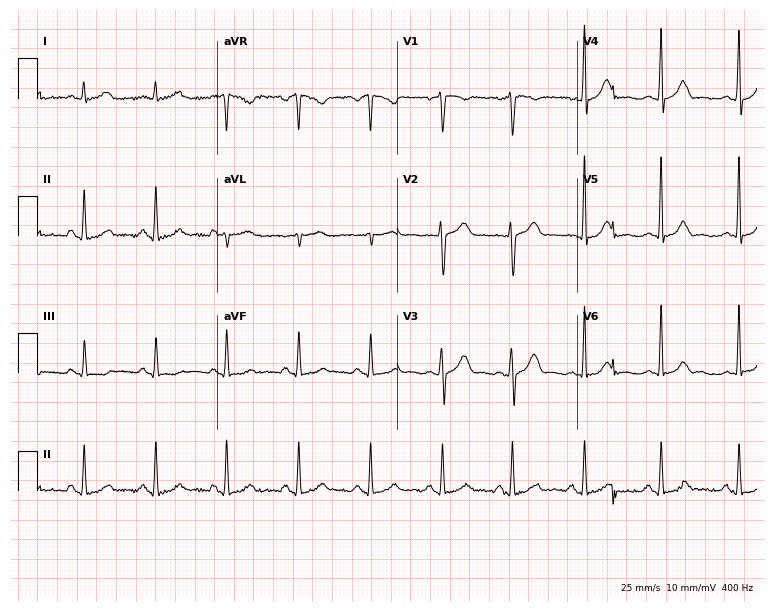
12-lead ECG from a 46-year-old female. Screened for six findings — first-degree AV block, right bundle branch block, left bundle branch block, sinus bradycardia, atrial fibrillation, sinus tachycardia — none is recorded. Only these six findings were labelled.